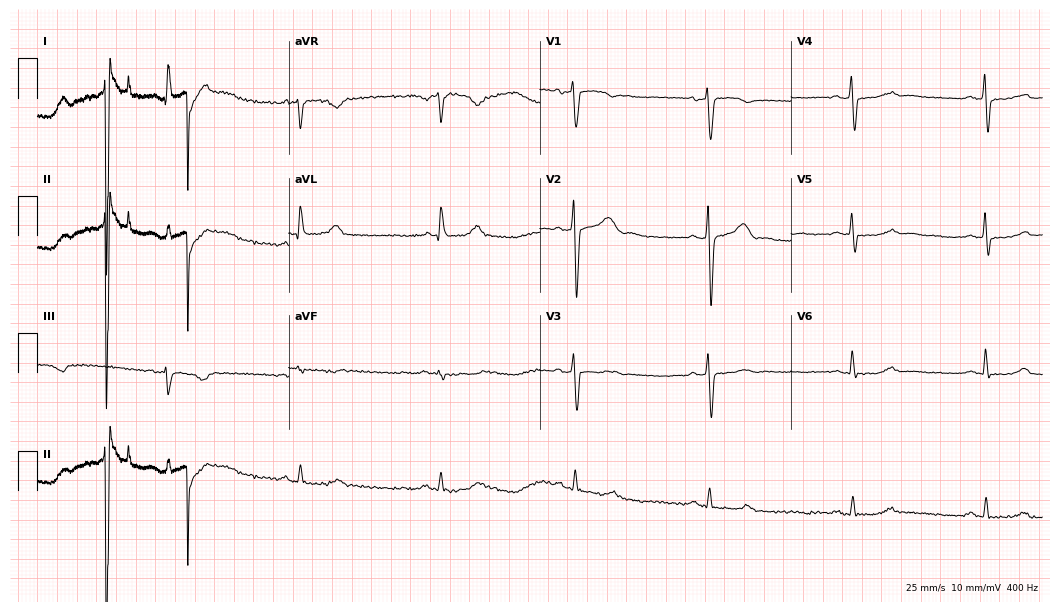
ECG (10.2-second recording at 400 Hz) — a man, 65 years old. Screened for six findings — first-degree AV block, right bundle branch block, left bundle branch block, sinus bradycardia, atrial fibrillation, sinus tachycardia — none is recorded. Other findings, if any, are not listed.